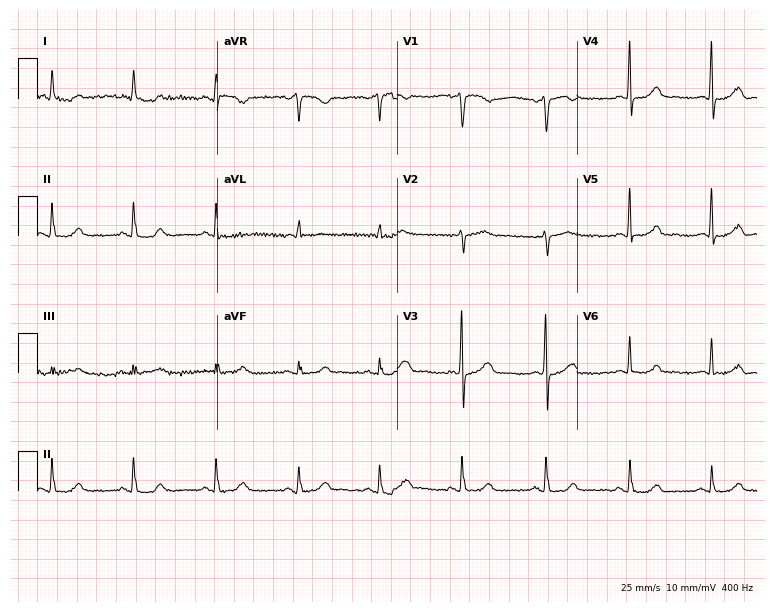
ECG (7.3-second recording at 400 Hz) — a 53-year-old female. Labelled as a normal ECG.